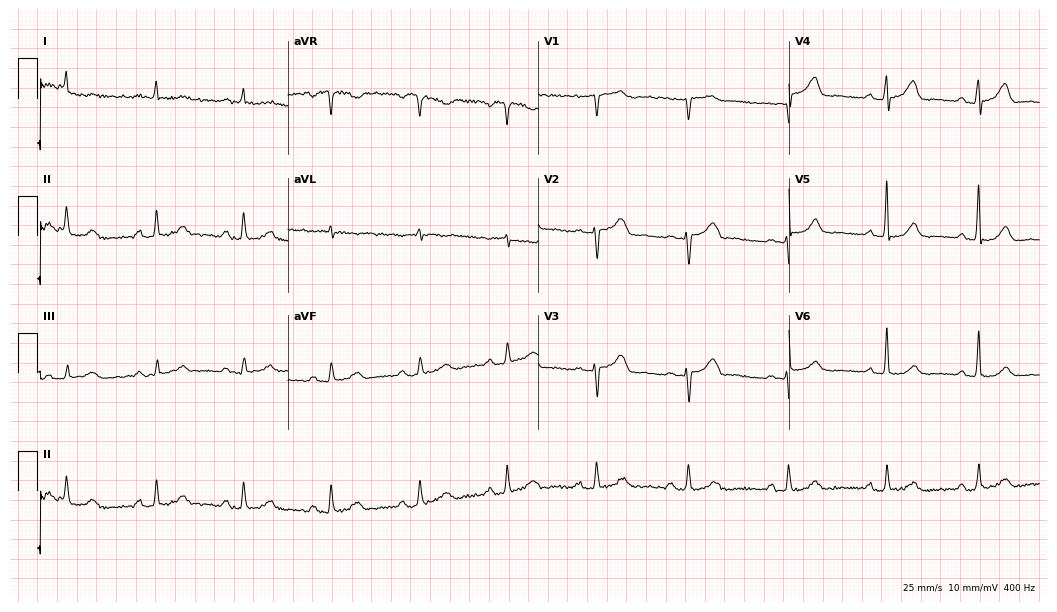
Resting 12-lead electrocardiogram. Patient: a 68-year-old female. Read as a normal ECG.